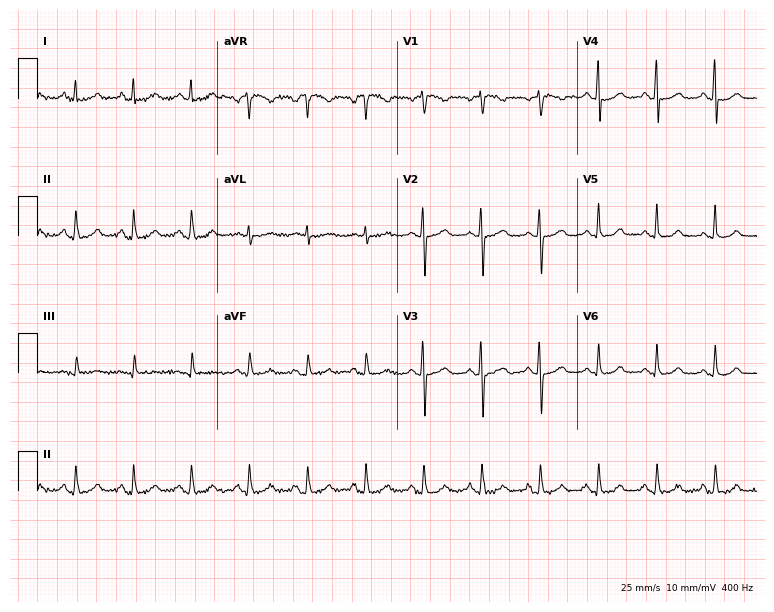
Electrocardiogram (7.3-second recording at 400 Hz), a female patient, 52 years old. Of the six screened findings (first-degree AV block, right bundle branch block, left bundle branch block, sinus bradycardia, atrial fibrillation, sinus tachycardia), none is recorded.